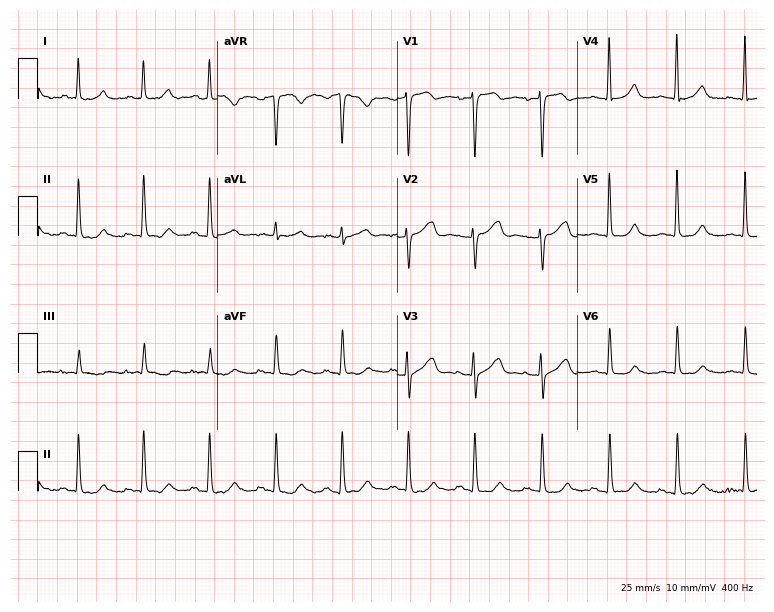
12-lead ECG from a 59-year-old woman (7.3-second recording at 400 Hz). Recorded interpretation: within normal limits.